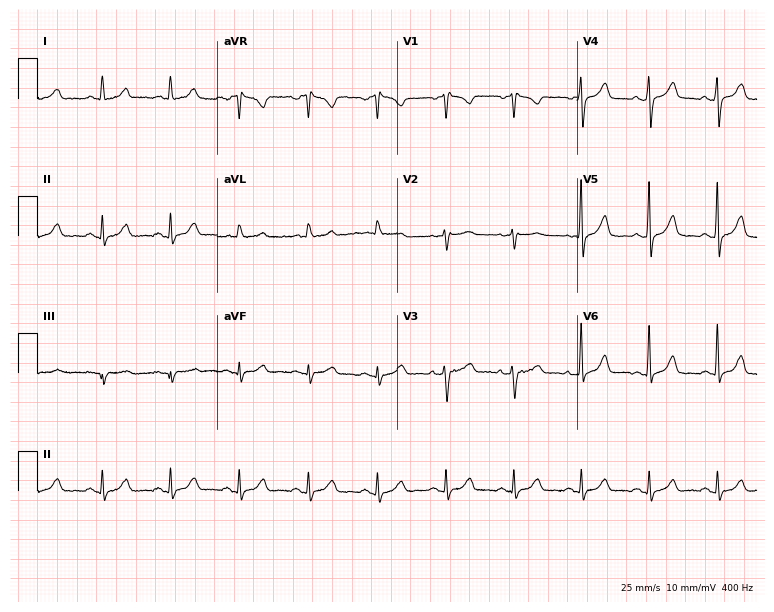
12-lead ECG (7.3-second recording at 400 Hz) from a female, 66 years old. Screened for six findings — first-degree AV block, right bundle branch block, left bundle branch block, sinus bradycardia, atrial fibrillation, sinus tachycardia — none is recorded.